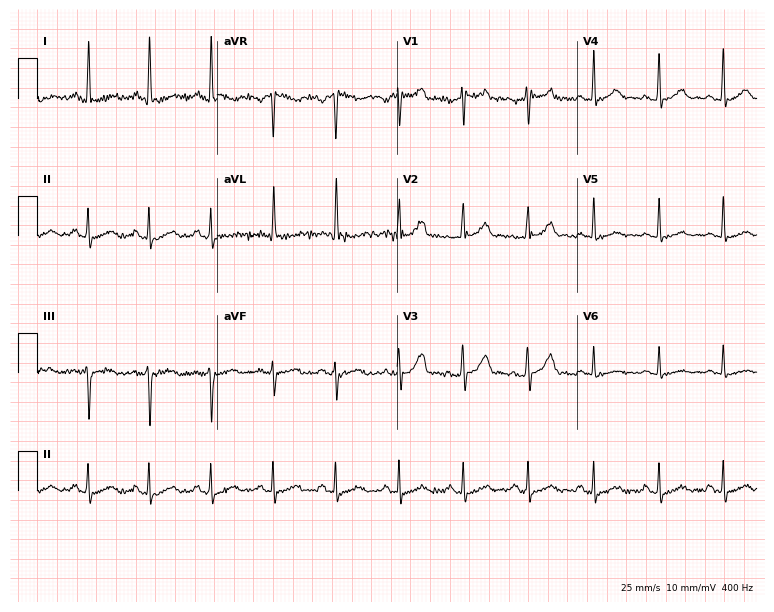
12-lead ECG (7.3-second recording at 400 Hz) from a man, 64 years old. Labelled as a normal ECG.